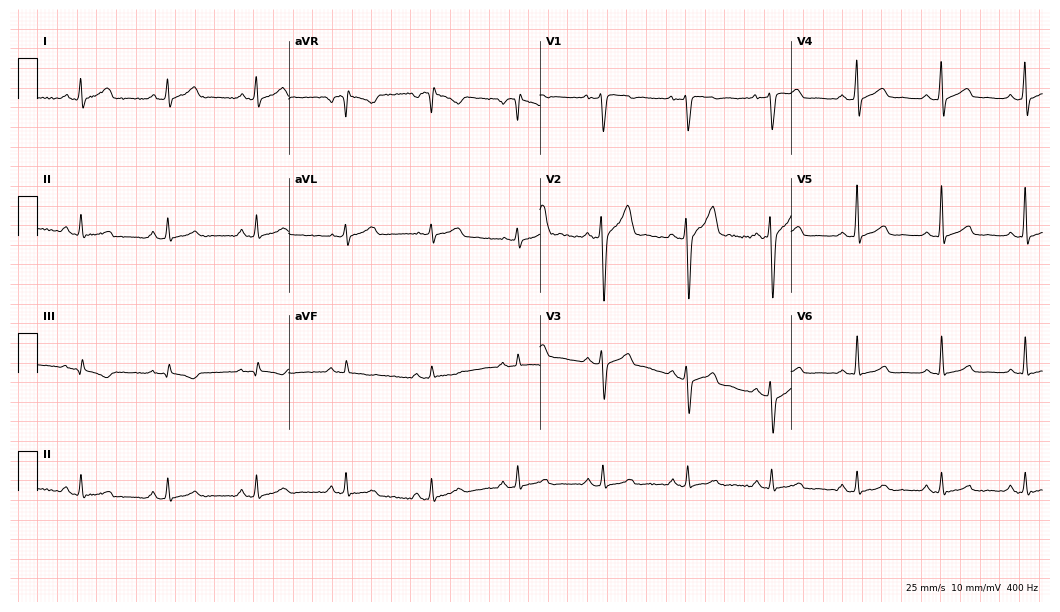
Electrocardiogram, a 41-year-old male patient. Overall reading on record: normal ECG.